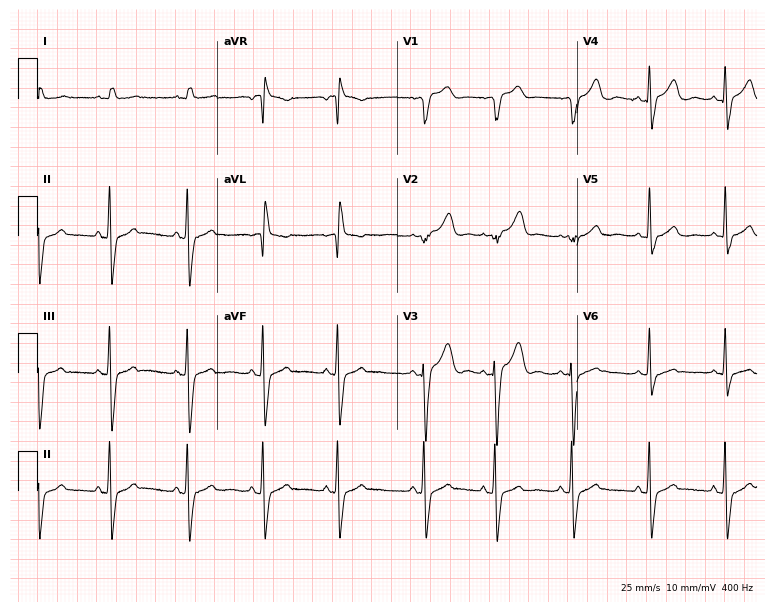
12-lead ECG from an 84-year-old male patient. Screened for six findings — first-degree AV block, right bundle branch block (RBBB), left bundle branch block (LBBB), sinus bradycardia, atrial fibrillation (AF), sinus tachycardia — none is recorded. Only these six findings were labelled.